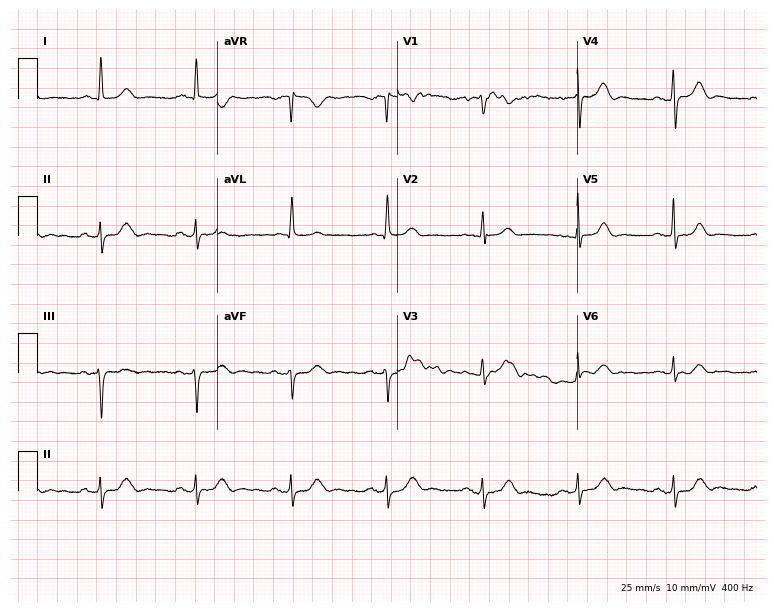
Resting 12-lead electrocardiogram. Patient: a 30-year-old female. None of these six findings is recorded: first-degree AV block, right bundle branch block, left bundle branch block, sinus bradycardia, atrial fibrillation, sinus tachycardia. Other findings, if any, are not listed.